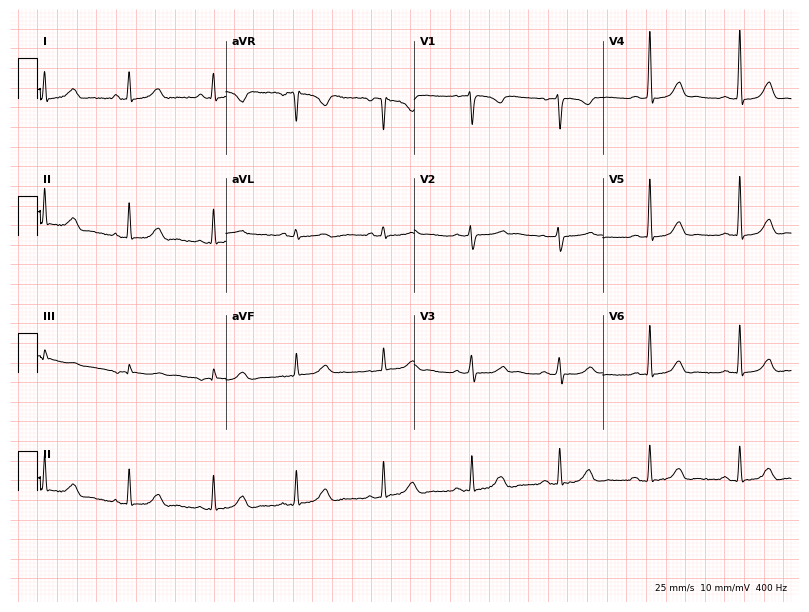
12-lead ECG from a woman, 38 years old. Screened for six findings — first-degree AV block, right bundle branch block, left bundle branch block, sinus bradycardia, atrial fibrillation, sinus tachycardia — none is recorded.